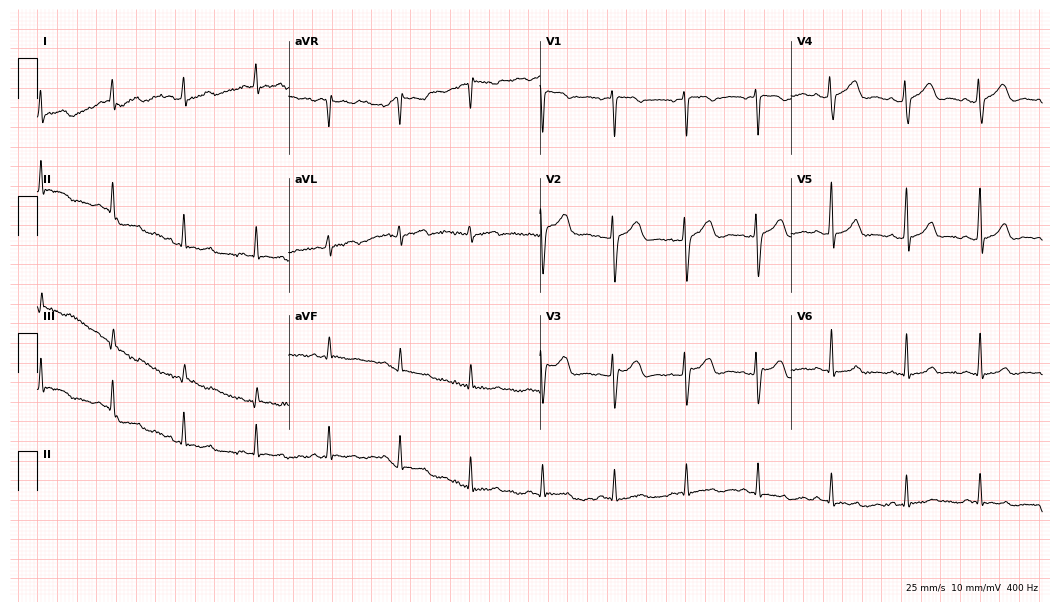
12-lead ECG (10.2-second recording at 400 Hz) from a female, 40 years old. Labelled as a normal ECG.